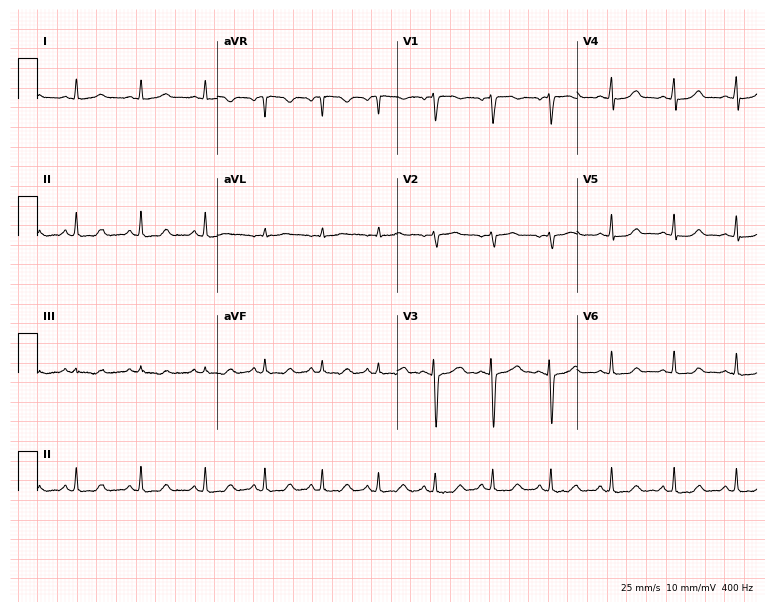
Resting 12-lead electrocardiogram. Patient: a female, 20 years old. Read as a normal ECG.